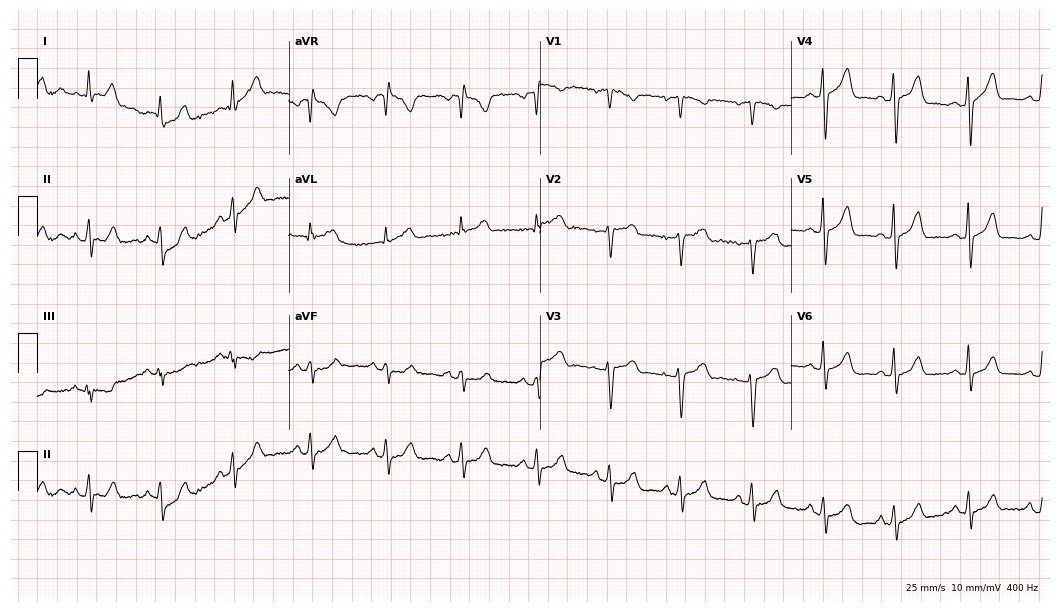
12-lead ECG from a 42-year-old male. Recorded interpretation: within normal limits.